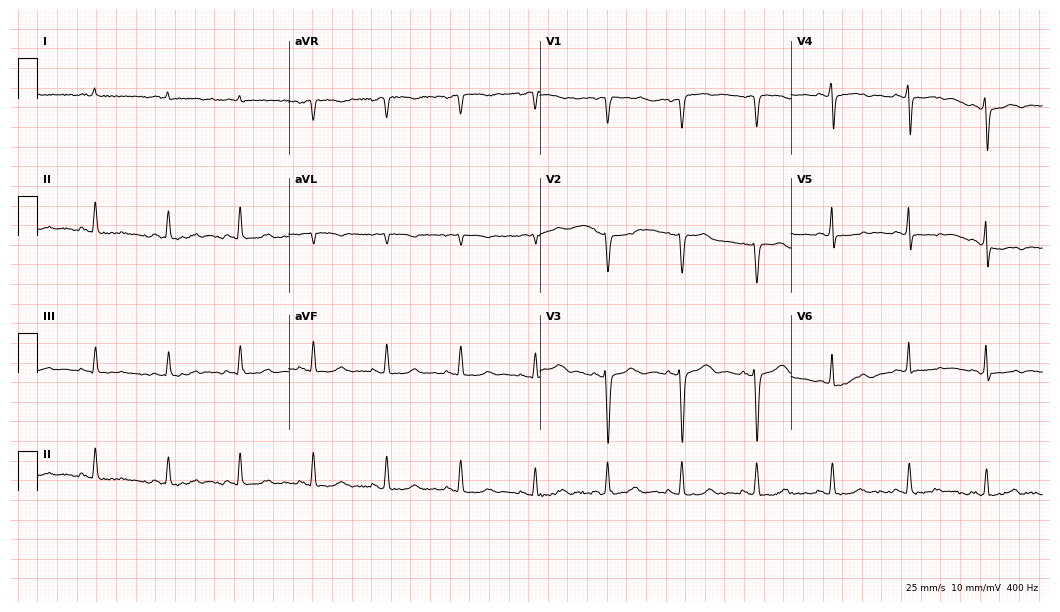
ECG (10.2-second recording at 400 Hz) — a female, 53 years old. Screened for six findings — first-degree AV block, right bundle branch block, left bundle branch block, sinus bradycardia, atrial fibrillation, sinus tachycardia — none is recorded.